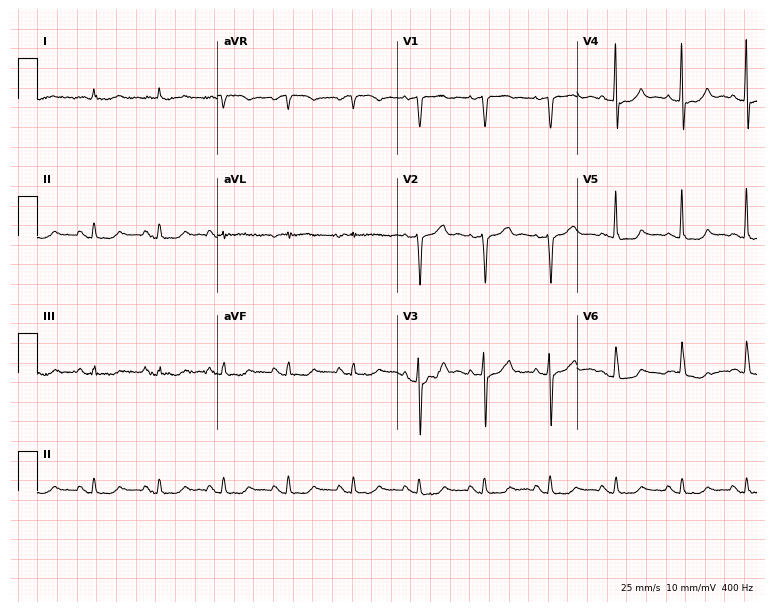
12-lead ECG (7.3-second recording at 400 Hz) from a female patient, 83 years old. Screened for six findings — first-degree AV block, right bundle branch block (RBBB), left bundle branch block (LBBB), sinus bradycardia, atrial fibrillation (AF), sinus tachycardia — none is recorded. Findings outside these six are not listed.